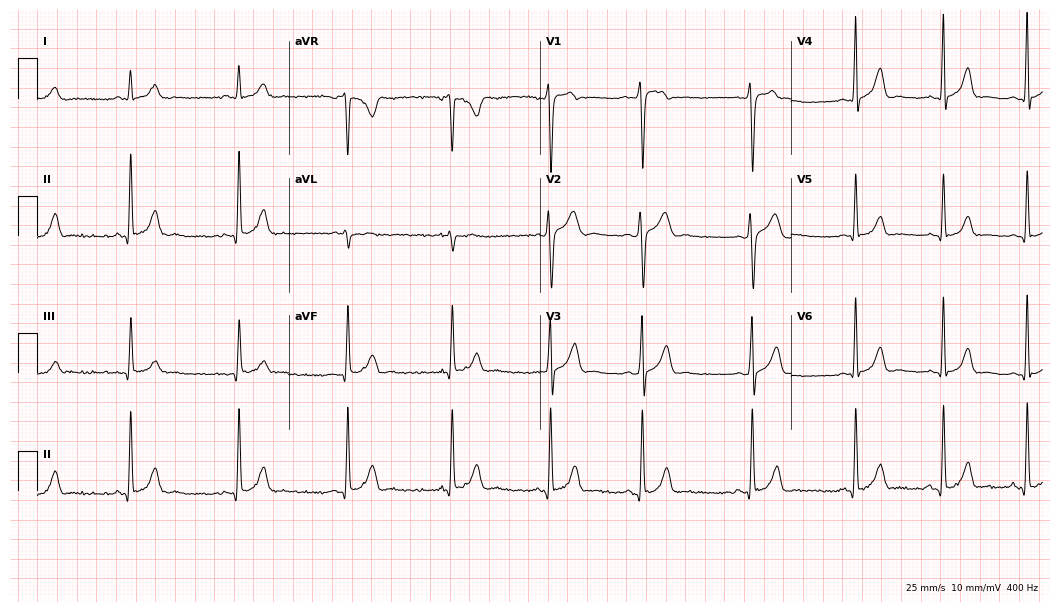
Resting 12-lead electrocardiogram (10.2-second recording at 400 Hz). Patient: a male, 25 years old. None of these six findings is recorded: first-degree AV block, right bundle branch block, left bundle branch block, sinus bradycardia, atrial fibrillation, sinus tachycardia. Findings outside these six are not listed.